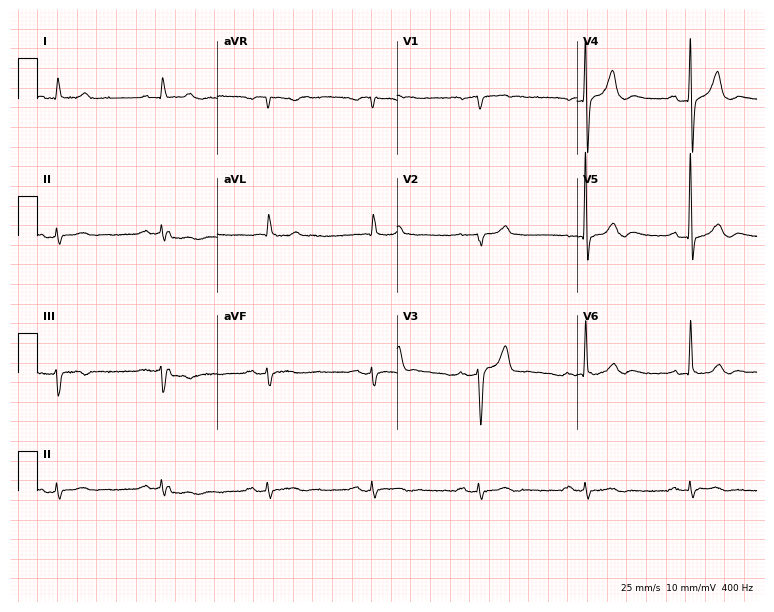
Electrocardiogram (7.3-second recording at 400 Hz), a male patient, 85 years old. Of the six screened findings (first-degree AV block, right bundle branch block, left bundle branch block, sinus bradycardia, atrial fibrillation, sinus tachycardia), none is recorded. Findings outside these six are not listed.